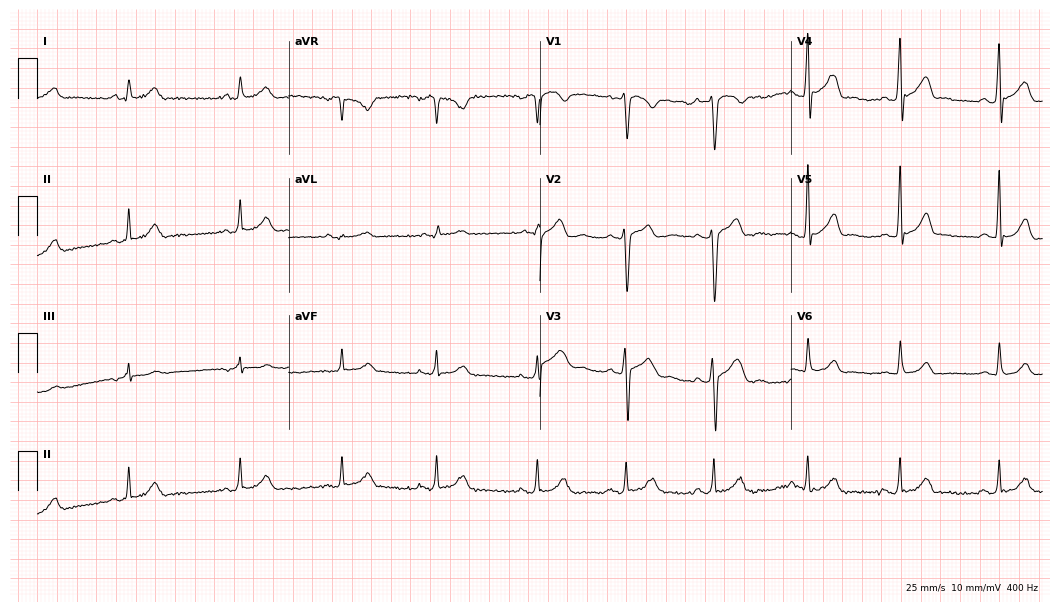
ECG — a male patient, 23 years old. Labelled as a normal ECG.